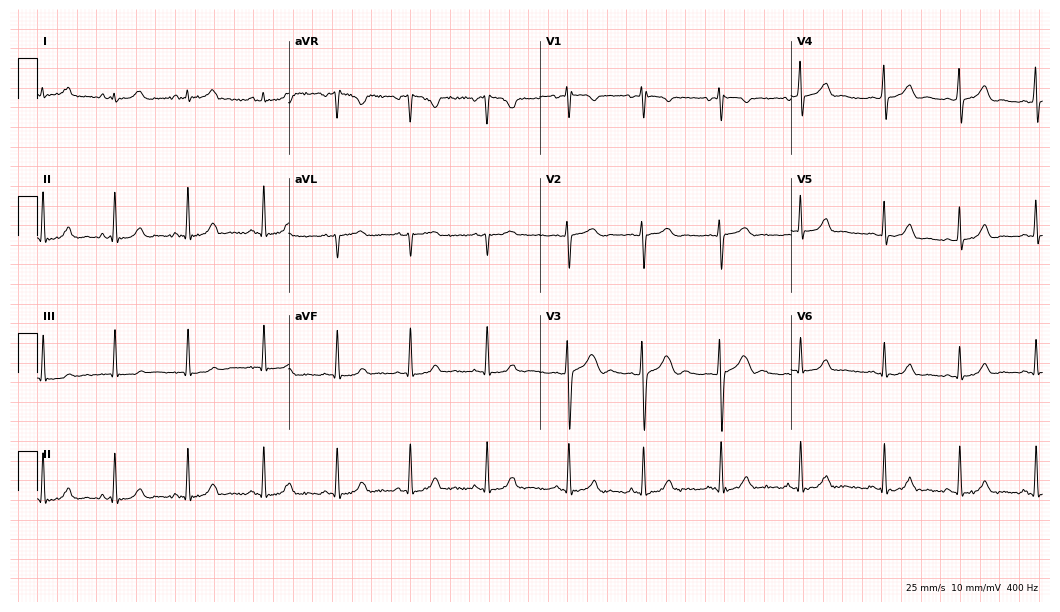
12-lead ECG from a 19-year-old female. Recorded interpretation: within normal limits.